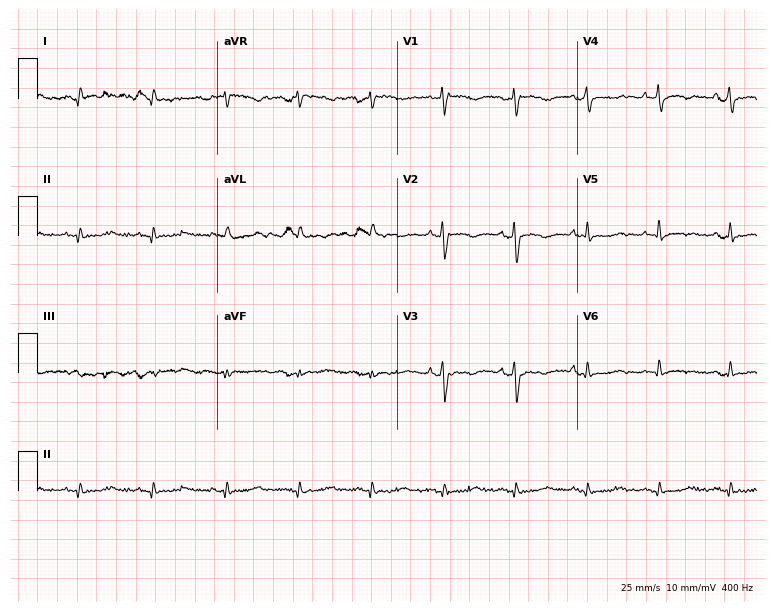
Resting 12-lead electrocardiogram. Patient: a 53-year-old male. None of these six findings is recorded: first-degree AV block, right bundle branch block (RBBB), left bundle branch block (LBBB), sinus bradycardia, atrial fibrillation (AF), sinus tachycardia. Only these six findings were labelled.